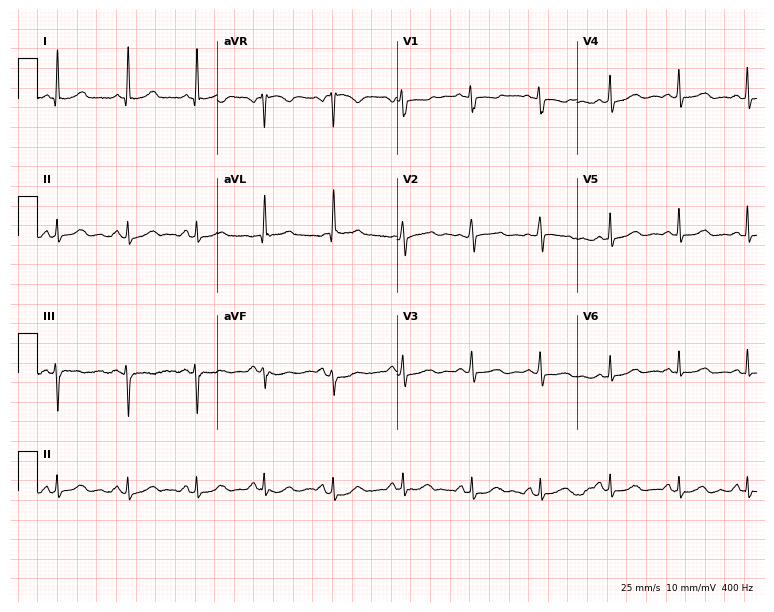
Standard 12-lead ECG recorded from a 47-year-old woman (7.3-second recording at 400 Hz). Read as a normal ECG.